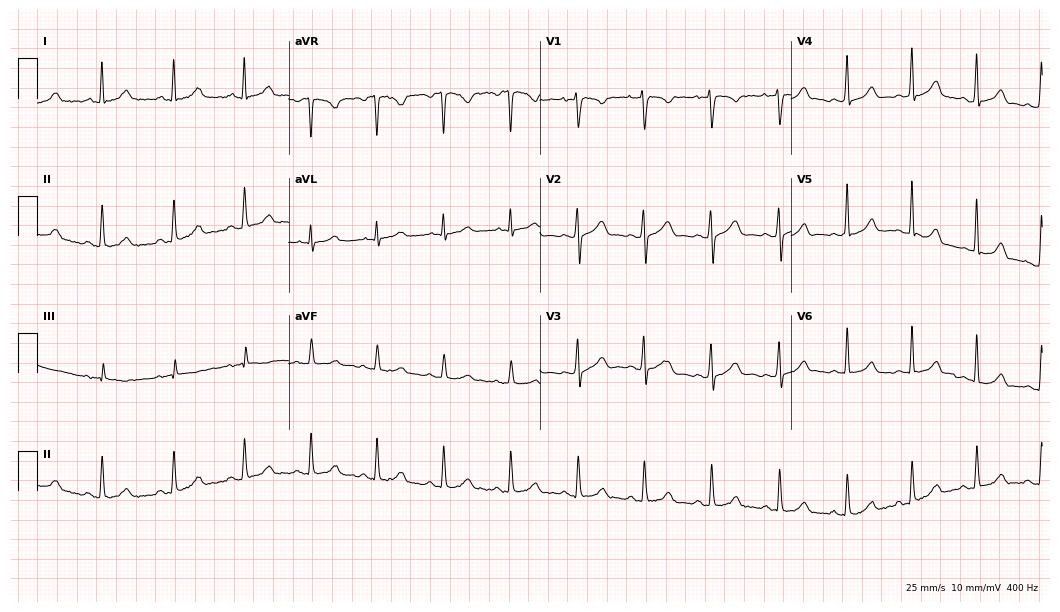
12-lead ECG (10.2-second recording at 400 Hz) from a female, 23 years old. Labelled as a normal ECG.